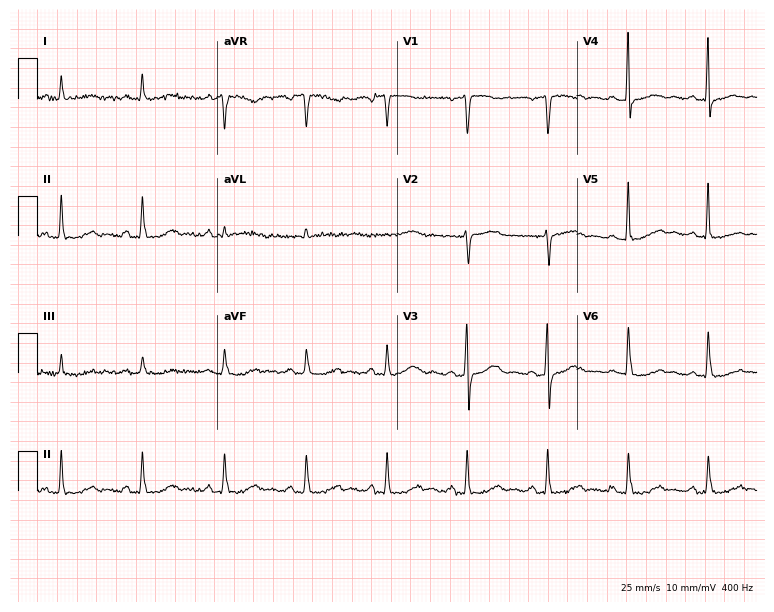
12-lead ECG from a woman, 63 years old. Labelled as a normal ECG.